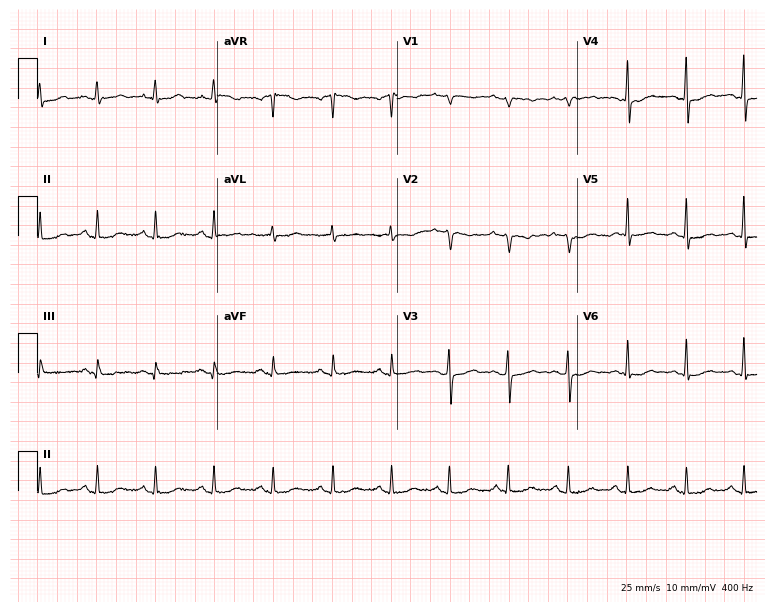
12-lead ECG (7.3-second recording at 400 Hz) from a female, 46 years old. Screened for six findings — first-degree AV block, right bundle branch block, left bundle branch block, sinus bradycardia, atrial fibrillation, sinus tachycardia — none is recorded. Findings outside these six are not listed.